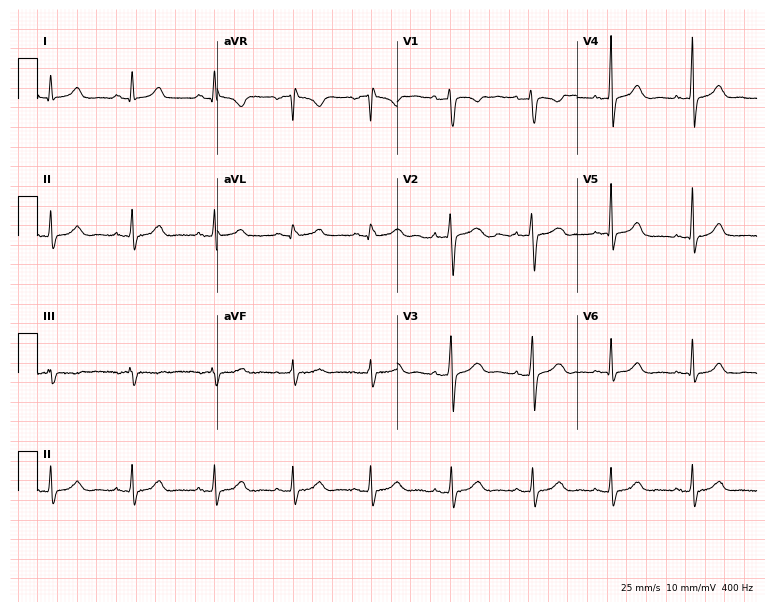
ECG (7.3-second recording at 400 Hz) — a 34-year-old female patient. Labelled as a normal ECG.